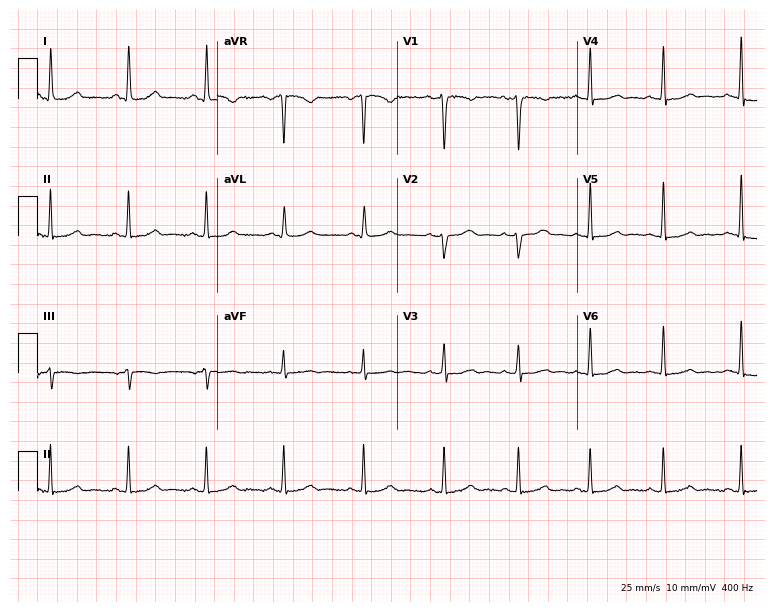
ECG (7.3-second recording at 400 Hz) — a female, 36 years old. Labelled as a normal ECG.